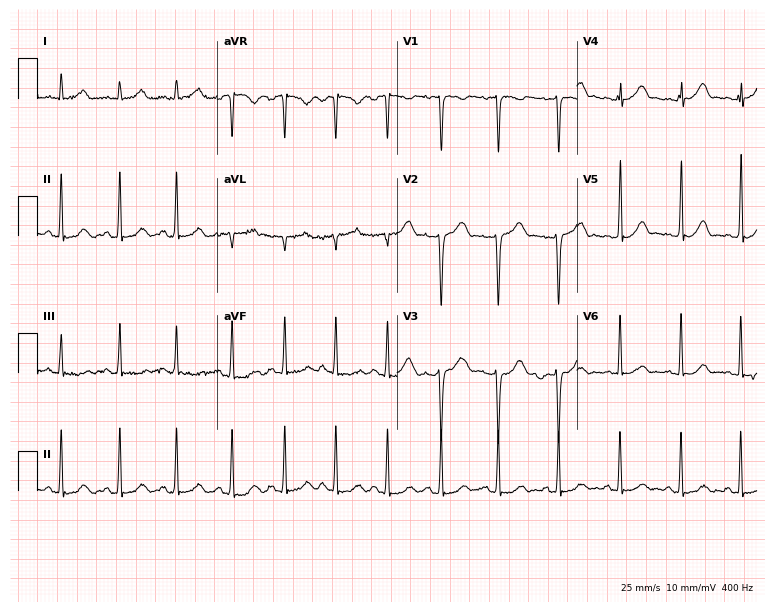
Electrocardiogram, a 26-year-old woman. Of the six screened findings (first-degree AV block, right bundle branch block, left bundle branch block, sinus bradycardia, atrial fibrillation, sinus tachycardia), none is recorded.